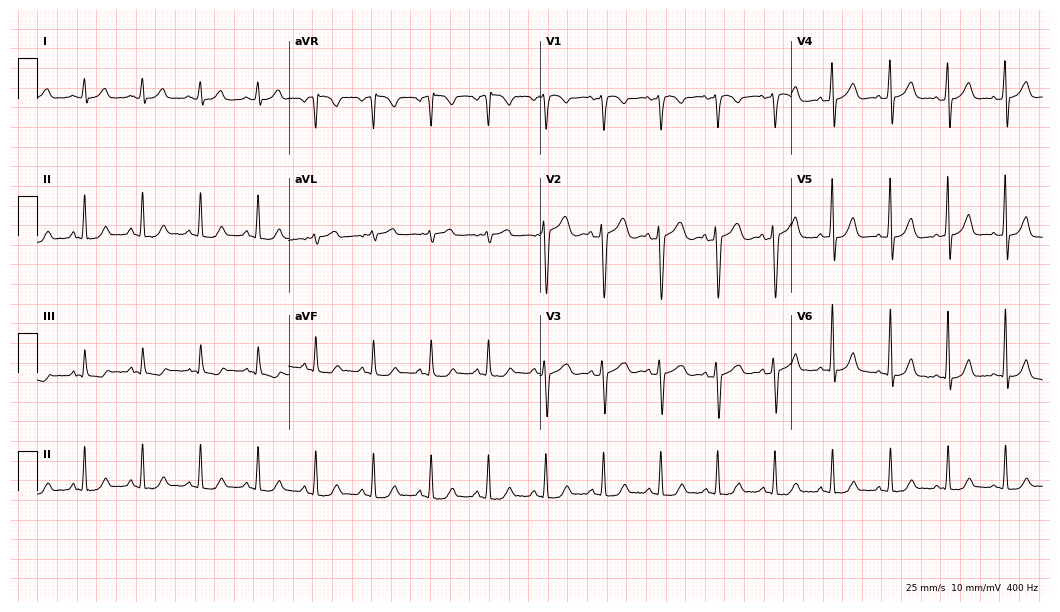
ECG (10.2-second recording at 400 Hz) — a female, 50 years old. Findings include sinus tachycardia (a sinus rate of 100 beats per minute or more).